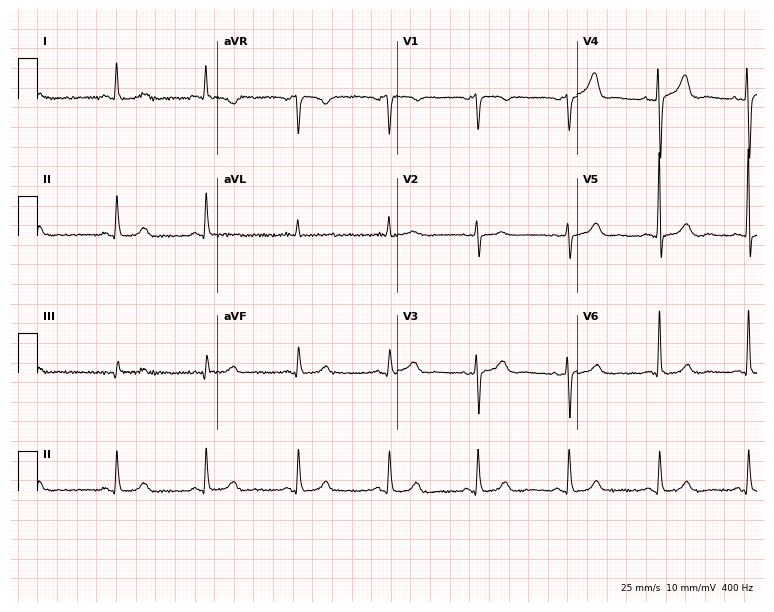
ECG (7.3-second recording at 400 Hz) — a woman, 83 years old. Labelled as a normal ECG.